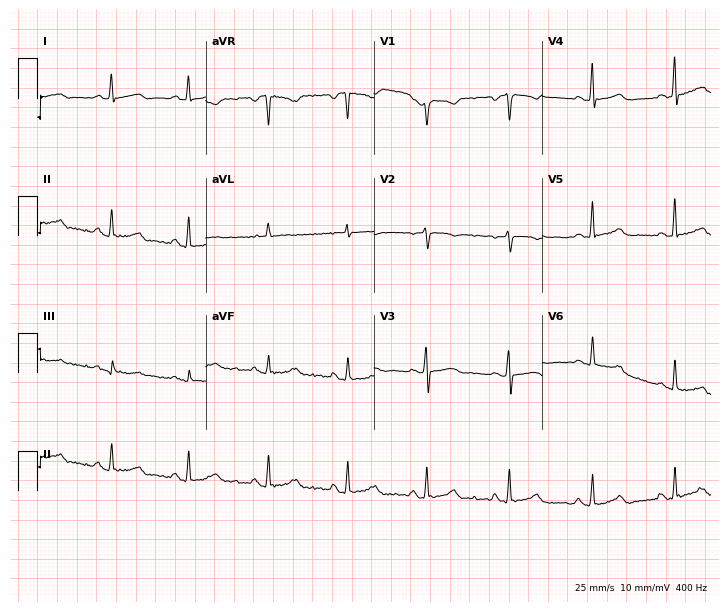
ECG (6.9-second recording at 400 Hz) — a woman, 64 years old. Screened for six findings — first-degree AV block, right bundle branch block, left bundle branch block, sinus bradycardia, atrial fibrillation, sinus tachycardia — none is recorded. Only these six findings were labelled.